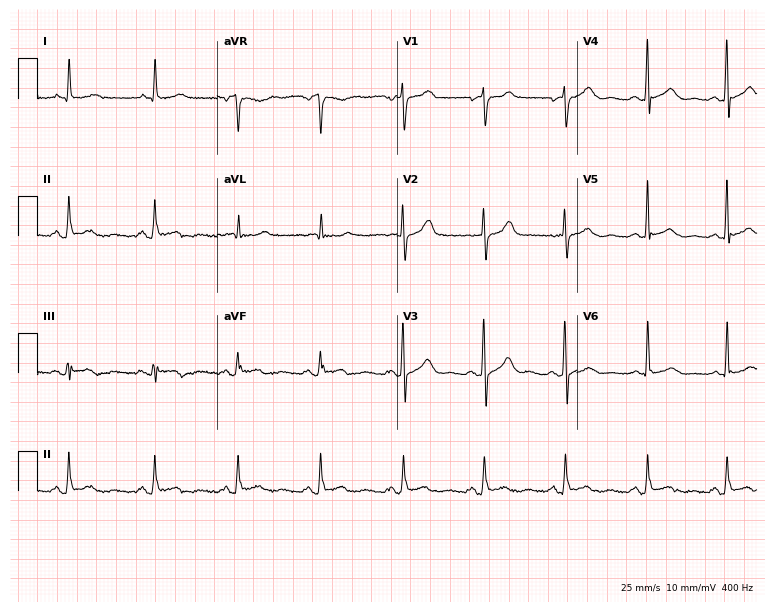
12-lead ECG from a female patient, 70 years old (7.3-second recording at 400 Hz). No first-degree AV block, right bundle branch block, left bundle branch block, sinus bradycardia, atrial fibrillation or sinus tachycardia recorded for this tracing. Only these six findings were labelled.